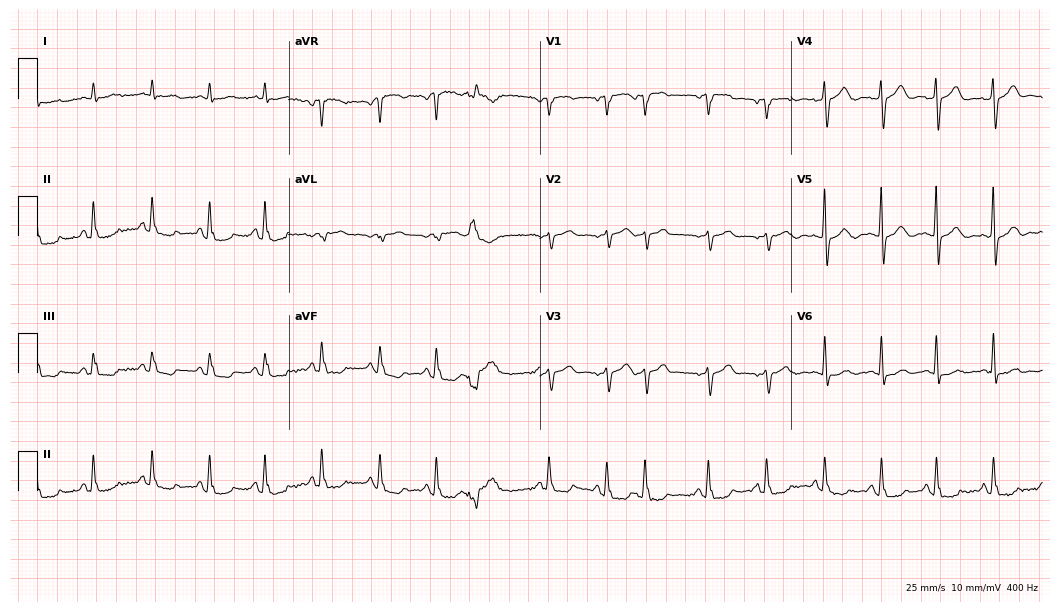
Resting 12-lead electrocardiogram. Patient: a 71-year-old male. The tracing shows sinus tachycardia (a sinus rate of 100 beats per minute or more).